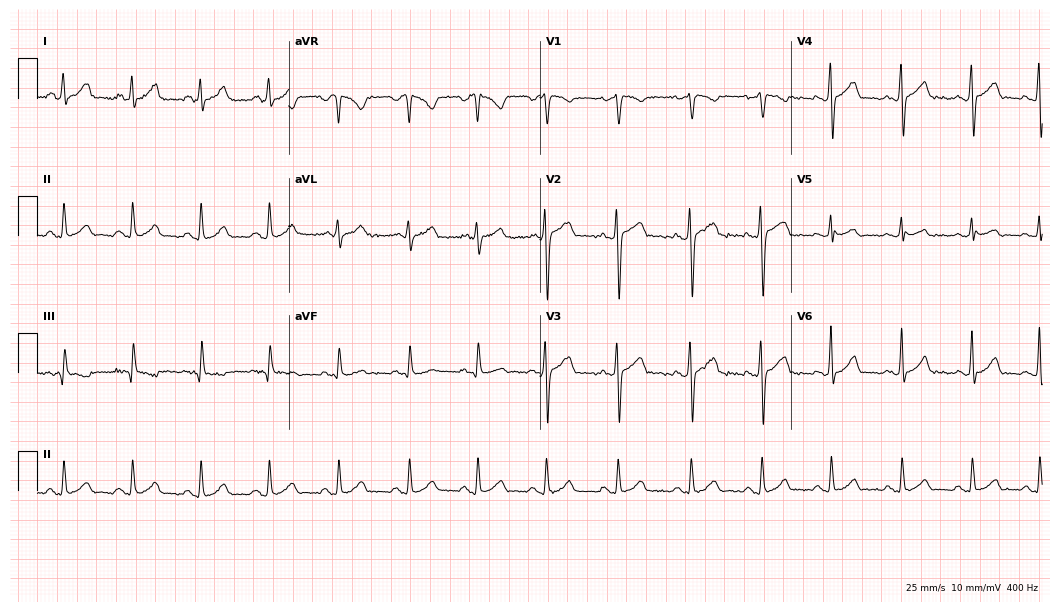
ECG (10.2-second recording at 400 Hz) — a 30-year-old female patient. Screened for six findings — first-degree AV block, right bundle branch block, left bundle branch block, sinus bradycardia, atrial fibrillation, sinus tachycardia — none is recorded. Other findings, if any, are not listed.